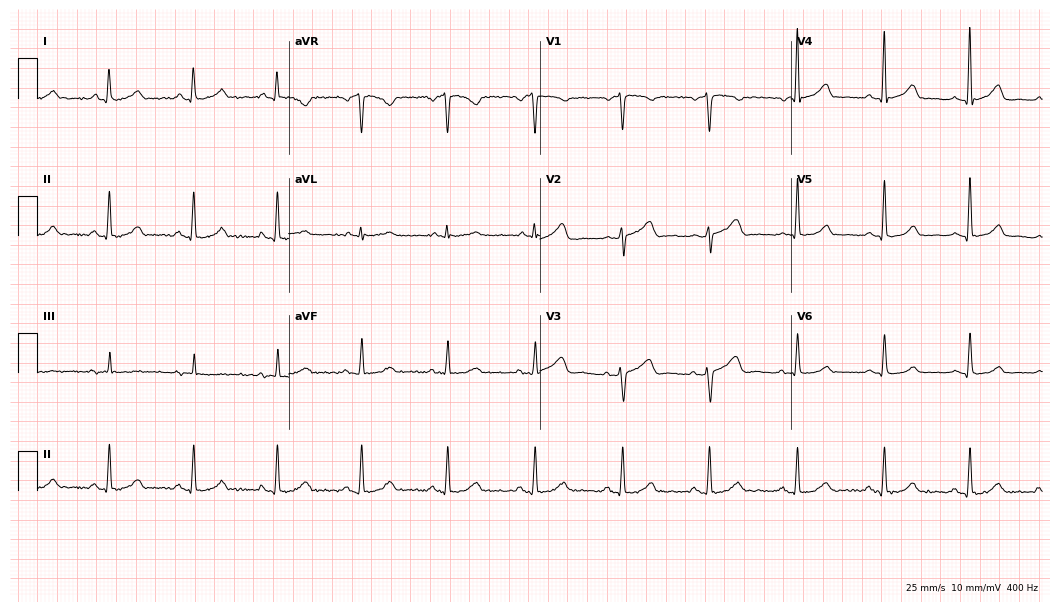
Resting 12-lead electrocardiogram (10.2-second recording at 400 Hz). Patient: a female, 43 years old. Read as a normal ECG.